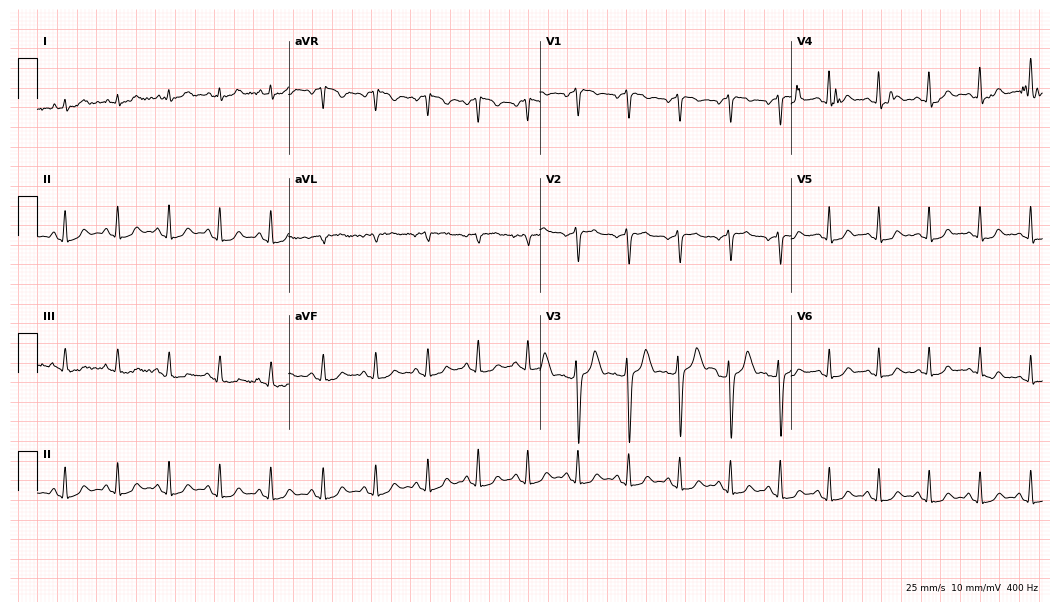
ECG — a 30-year-old female patient. Findings include sinus tachycardia (a sinus rate of 100 beats per minute or more).